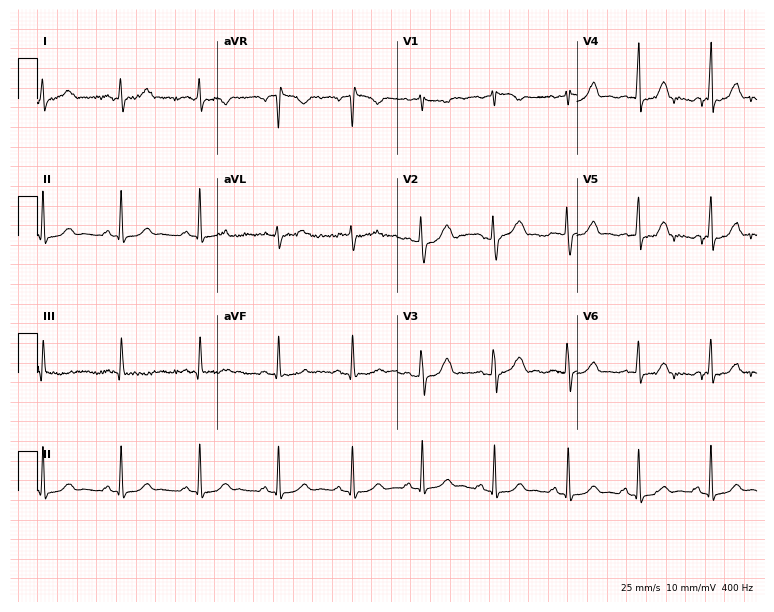
Standard 12-lead ECG recorded from a female, 20 years old (7.3-second recording at 400 Hz). Read as a normal ECG.